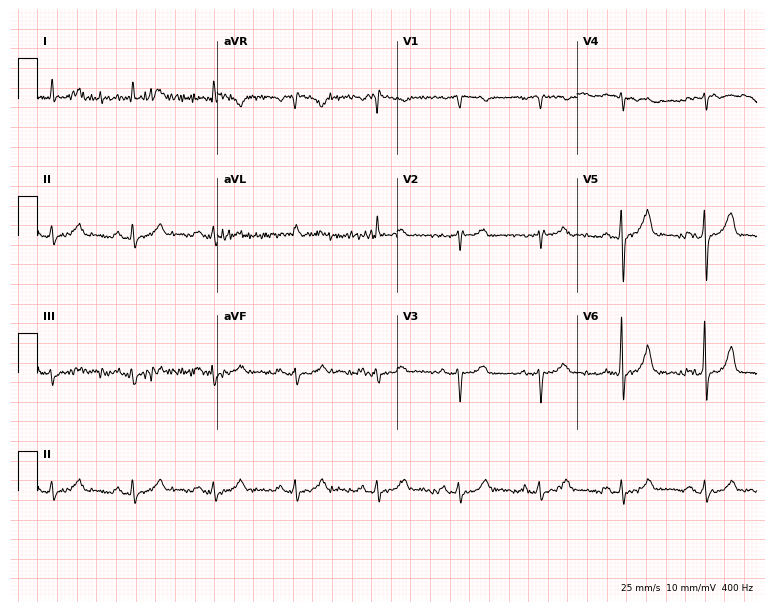
Electrocardiogram (7.3-second recording at 400 Hz), a 67-year-old female patient. Of the six screened findings (first-degree AV block, right bundle branch block (RBBB), left bundle branch block (LBBB), sinus bradycardia, atrial fibrillation (AF), sinus tachycardia), none is recorded. Findings outside these six are not listed.